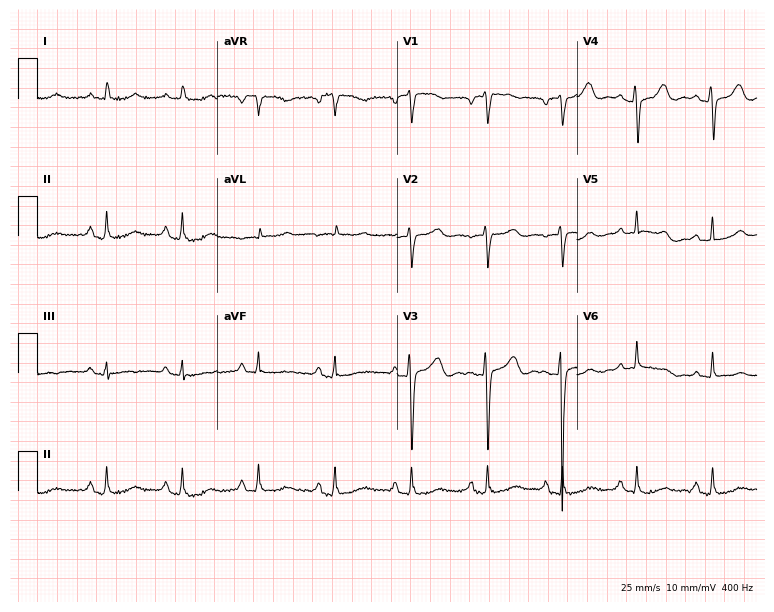
Electrocardiogram (7.3-second recording at 400 Hz), a woman, 63 years old. Overall reading on record: normal ECG.